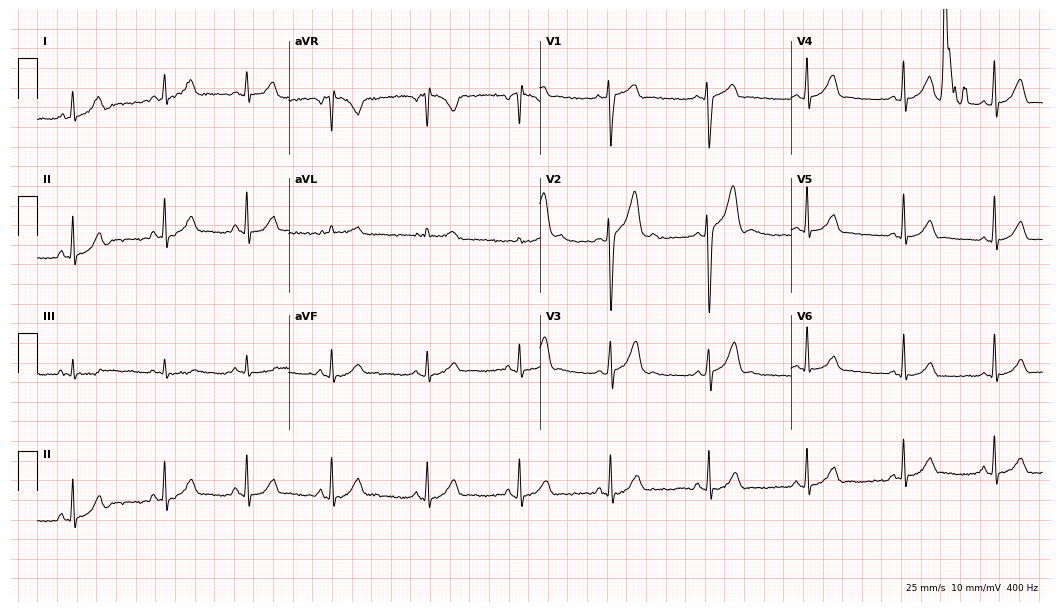
Electrocardiogram (10.2-second recording at 400 Hz), a man, 25 years old. Of the six screened findings (first-degree AV block, right bundle branch block, left bundle branch block, sinus bradycardia, atrial fibrillation, sinus tachycardia), none is recorded.